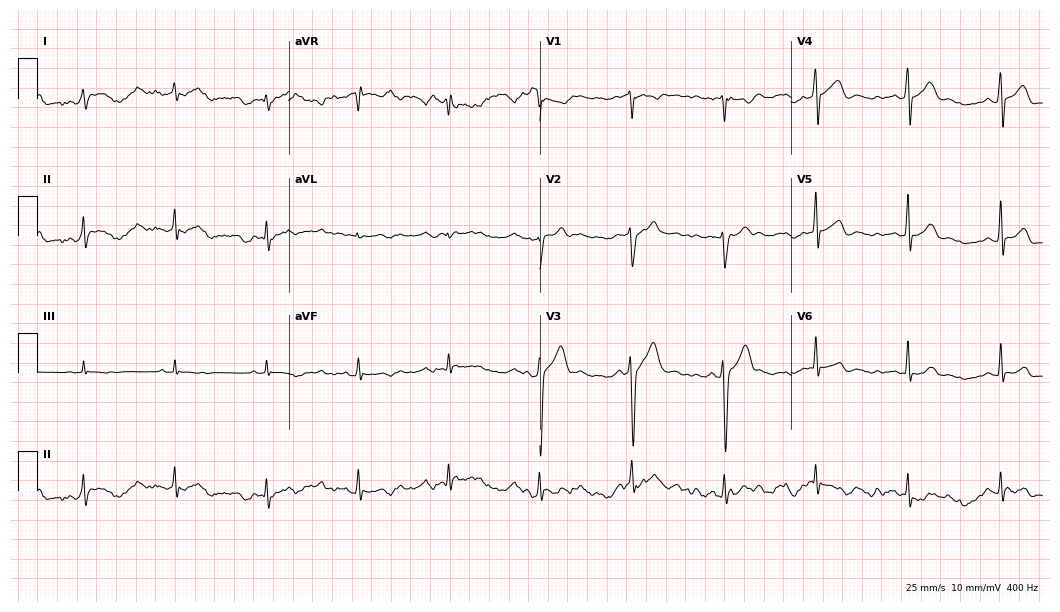
Standard 12-lead ECG recorded from a 20-year-old man (10.2-second recording at 400 Hz). None of these six findings is recorded: first-degree AV block, right bundle branch block, left bundle branch block, sinus bradycardia, atrial fibrillation, sinus tachycardia. Only these six findings were labelled.